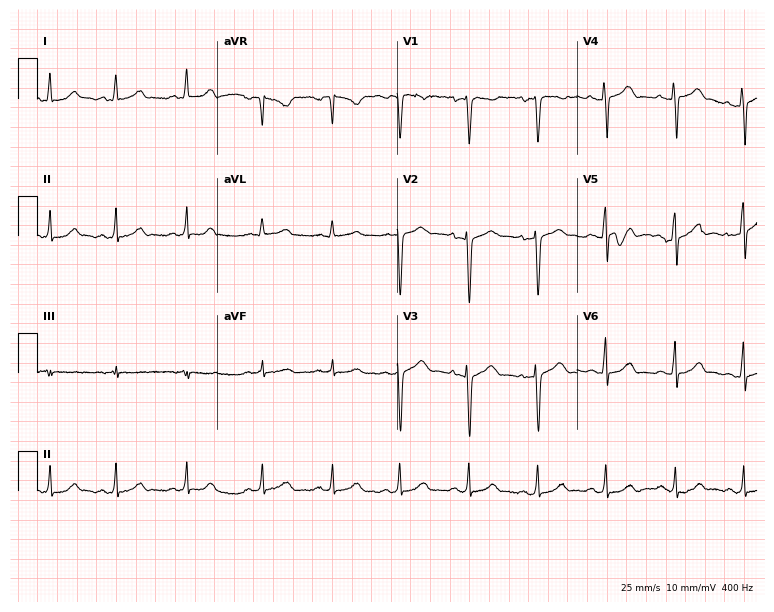
12-lead ECG from a female patient, 17 years old. Recorded interpretation: within normal limits.